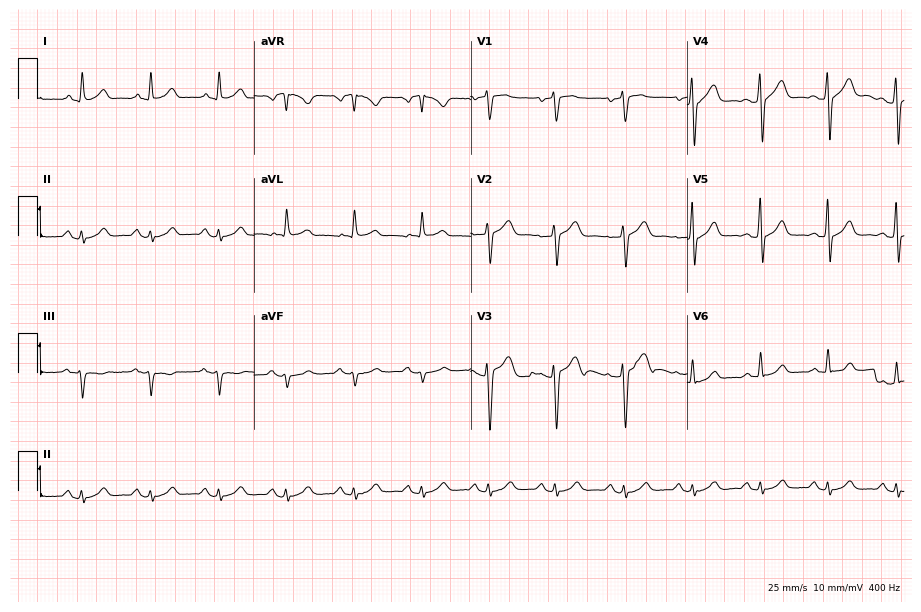
12-lead ECG from a 39-year-old man. Labelled as a normal ECG.